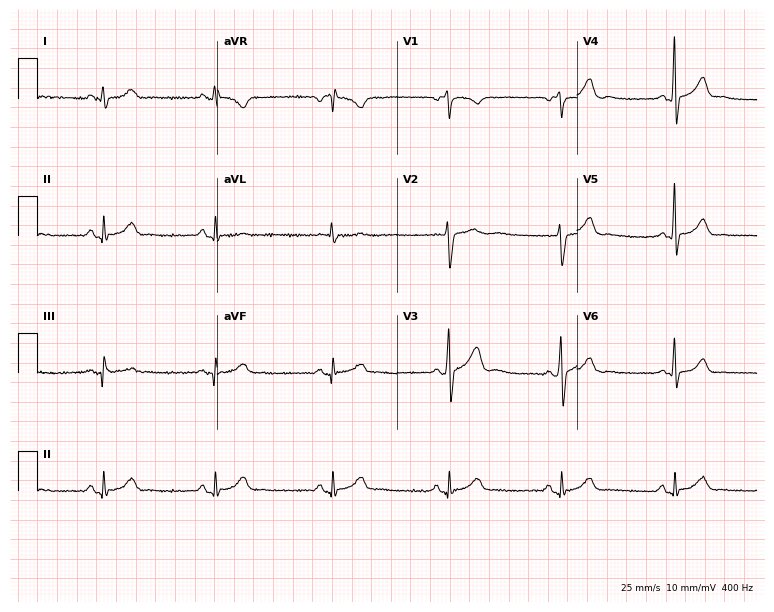
12-lead ECG from a male, 52 years old. No first-degree AV block, right bundle branch block, left bundle branch block, sinus bradycardia, atrial fibrillation or sinus tachycardia recorded for this tracing.